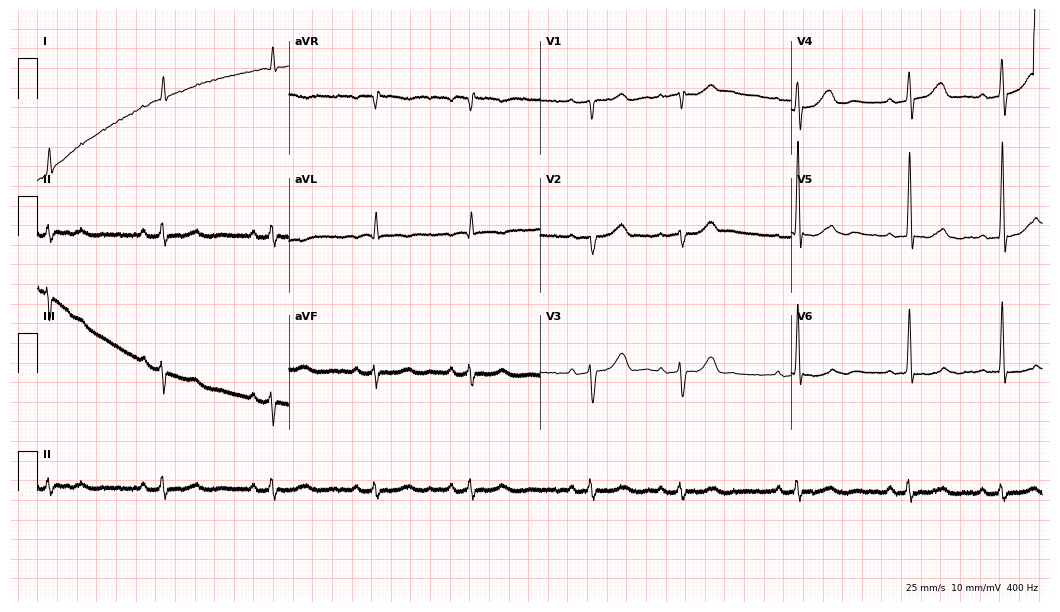
12-lead ECG from a 78-year-old man. Screened for six findings — first-degree AV block, right bundle branch block, left bundle branch block, sinus bradycardia, atrial fibrillation, sinus tachycardia — none is recorded. Only these six findings were labelled.